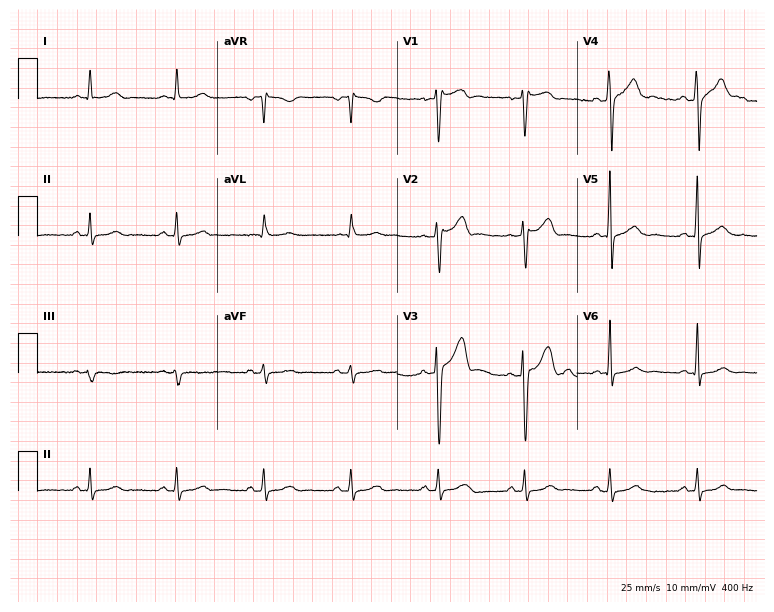
ECG — a male patient, 43 years old. Labelled as a normal ECG.